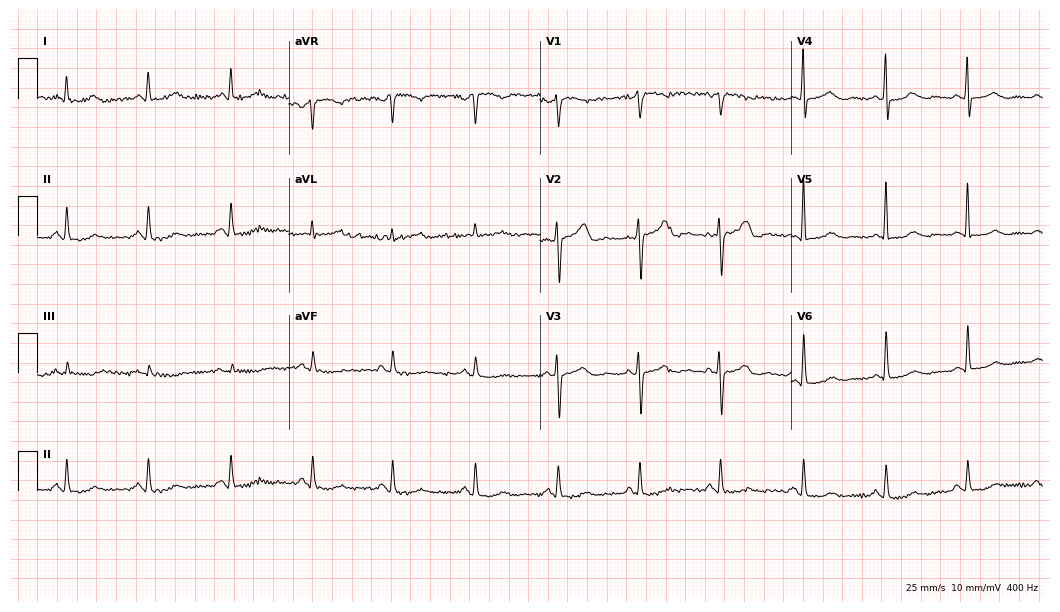
12-lead ECG (10.2-second recording at 400 Hz) from a 57-year-old female patient. Screened for six findings — first-degree AV block, right bundle branch block (RBBB), left bundle branch block (LBBB), sinus bradycardia, atrial fibrillation (AF), sinus tachycardia — none is recorded. Only these six findings were labelled.